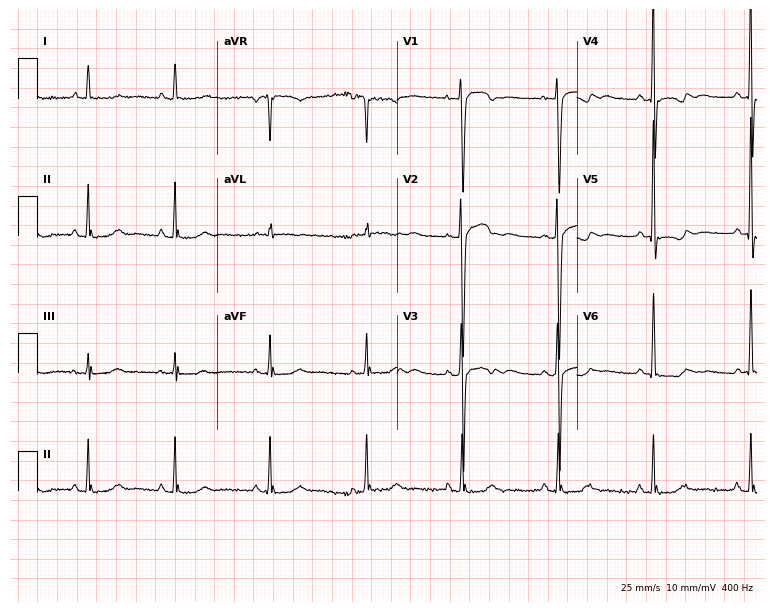
12-lead ECG (7.3-second recording at 400 Hz) from a 62-year-old female patient. Screened for six findings — first-degree AV block, right bundle branch block, left bundle branch block, sinus bradycardia, atrial fibrillation, sinus tachycardia — none is recorded.